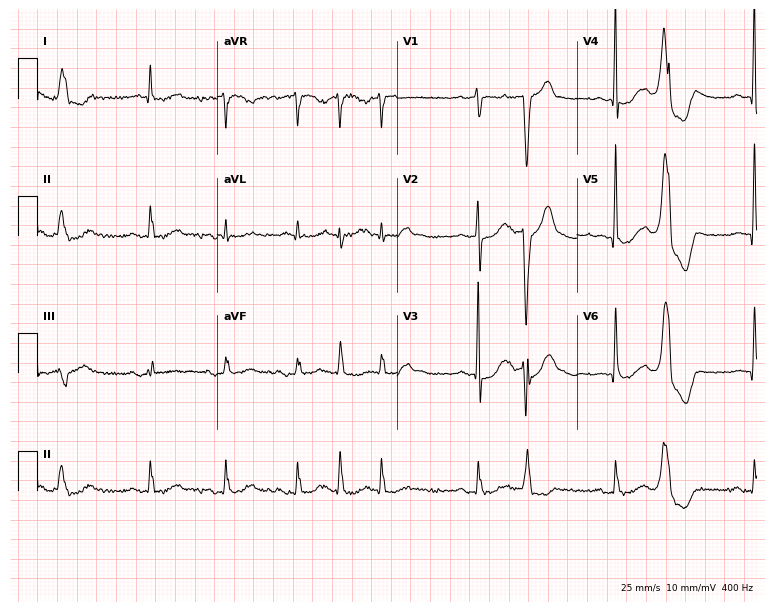
Electrocardiogram (7.3-second recording at 400 Hz), a female, 80 years old. Of the six screened findings (first-degree AV block, right bundle branch block, left bundle branch block, sinus bradycardia, atrial fibrillation, sinus tachycardia), none is recorded.